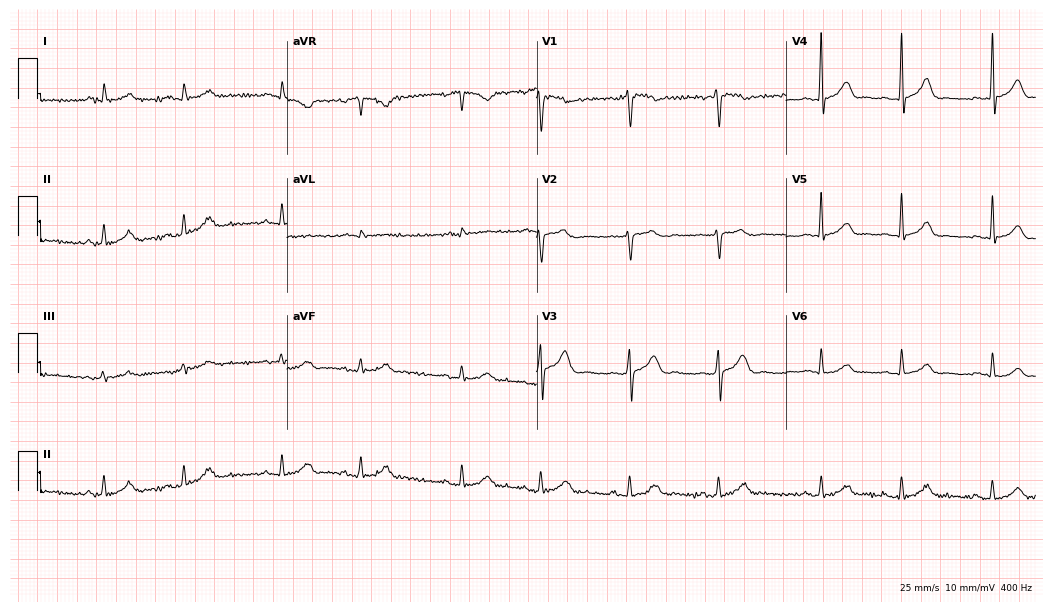
ECG — a male, 37 years old. Labelled as a normal ECG.